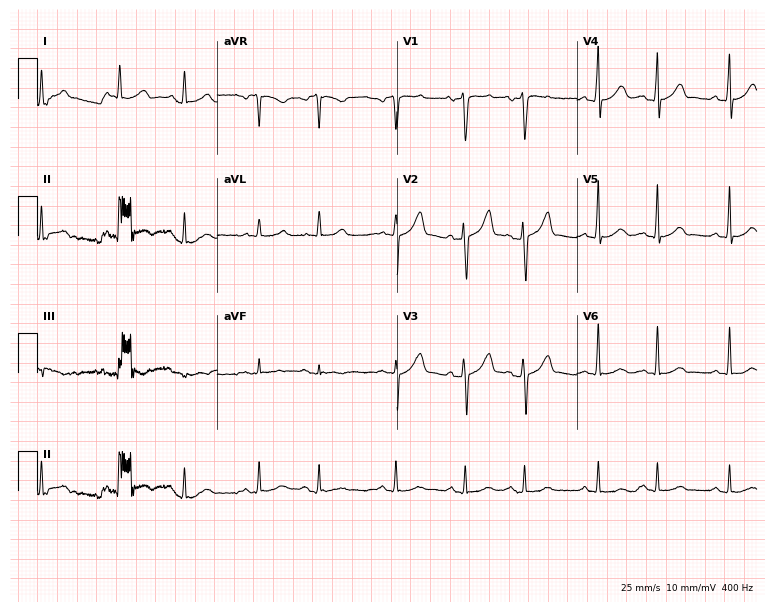
12-lead ECG (7.3-second recording at 400 Hz) from a male patient, 67 years old. Screened for six findings — first-degree AV block, right bundle branch block, left bundle branch block, sinus bradycardia, atrial fibrillation, sinus tachycardia — none is recorded. Other findings, if any, are not listed.